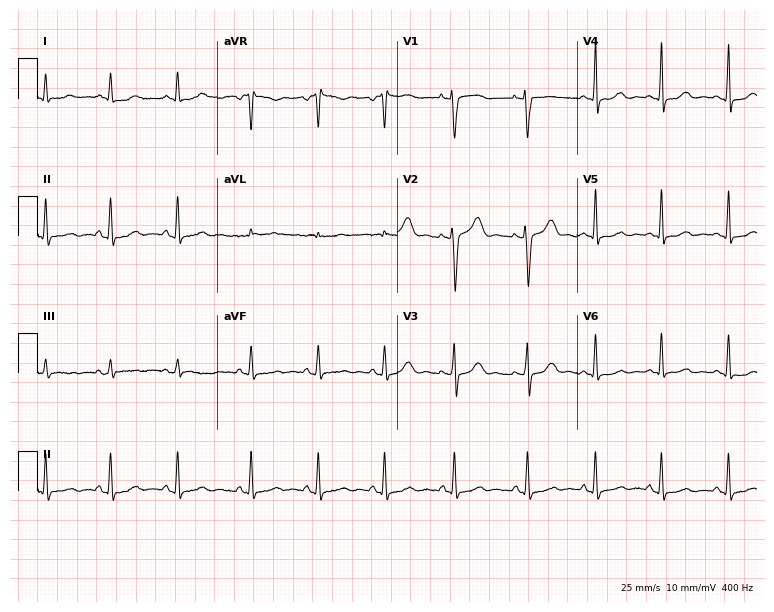
12-lead ECG (7.3-second recording at 400 Hz) from a female patient, 32 years old. Labelled as a normal ECG.